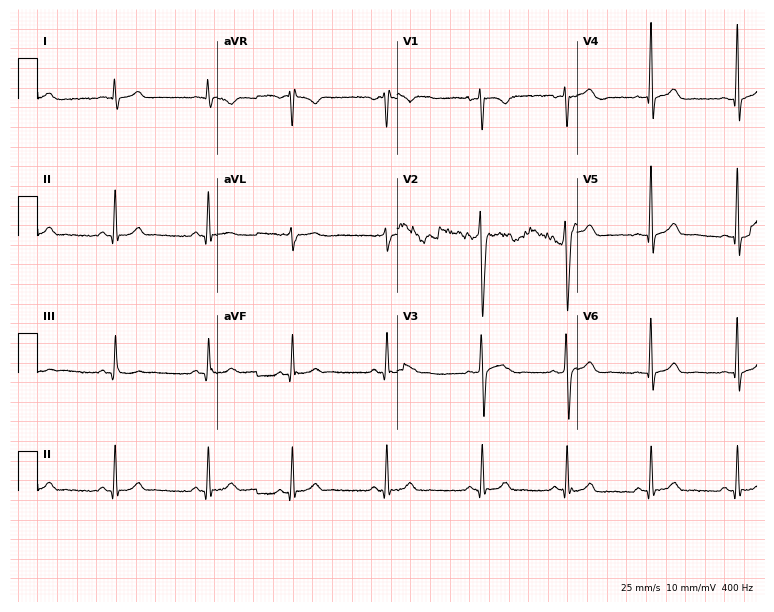
12-lead ECG from an 18-year-old man (7.3-second recording at 400 Hz). No first-degree AV block, right bundle branch block (RBBB), left bundle branch block (LBBB), sinus bradycardia, atrial fibrillation (AF) or sinus tachycardia recorded for this tracing. Other findings, if any, are not listed.